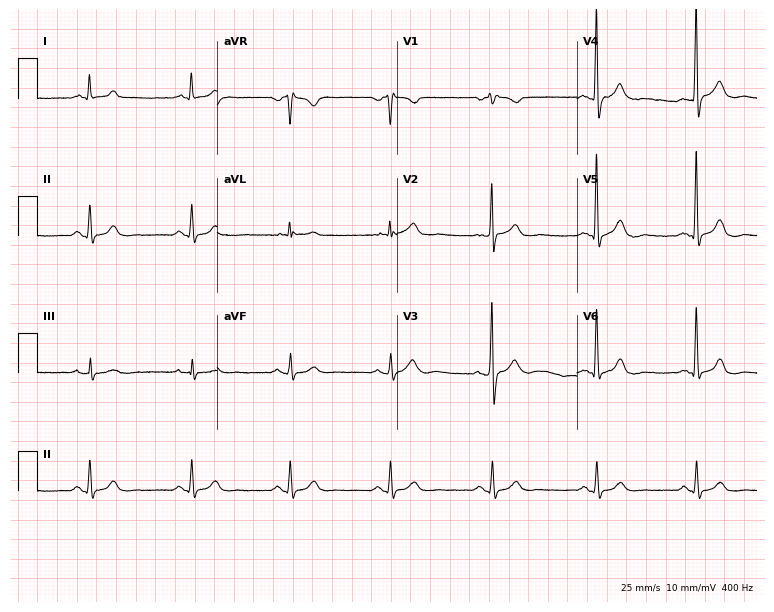
ECG — a 69-year-old male. Screened for six findings — first-degree AV block, right bundle branch block, left bundle branch block, sinus bradycardia, atrial fibrillation, sinus tachycardia — none is recorded. Only these six findings were labelled.